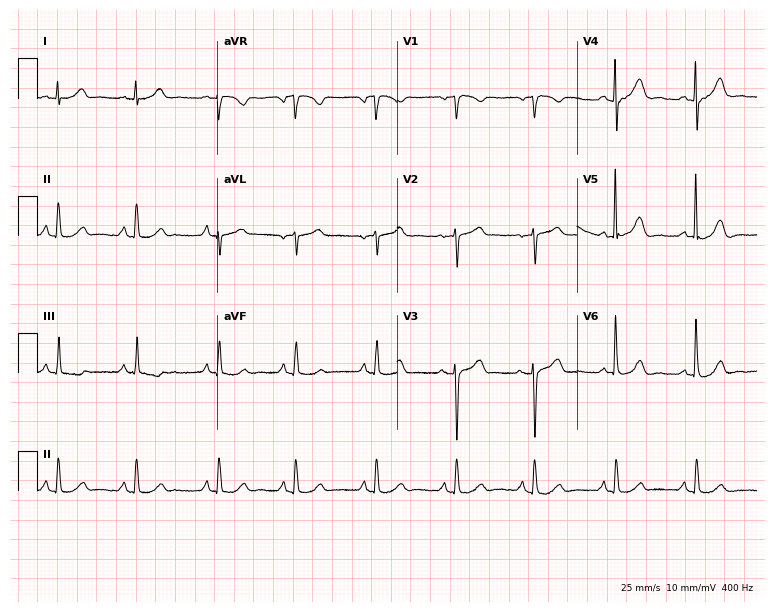
ECG (7.3-second recording at 400 Hz) — a female patient, 80 years old. Screened for six findings — first-degree AV block, right bundle branch block (RBBB), left bundle branch block (LBBB), sinus bradycardia, atrial fibrillation (AF), sinus tachycardia — none is recorded.